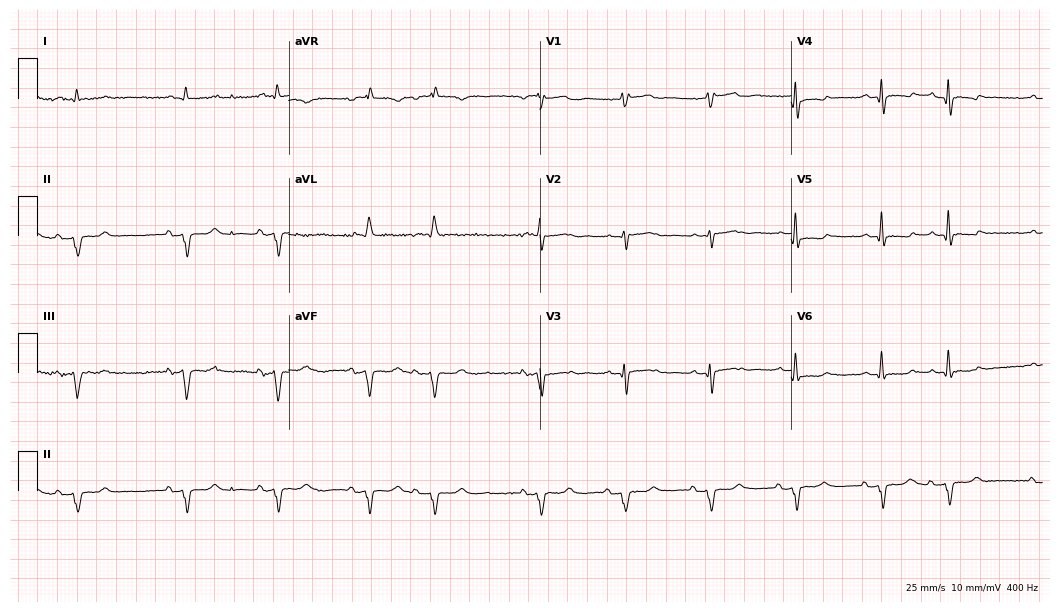
12-lead ECG from a 73-year-old male (10.2-second recording at 400 Hz). No first-degree AV block, right bundle branch block, left bundle branch block, sinus bradycardia, atrial fibrillation or sinus tachycardia recorded for this tracing.